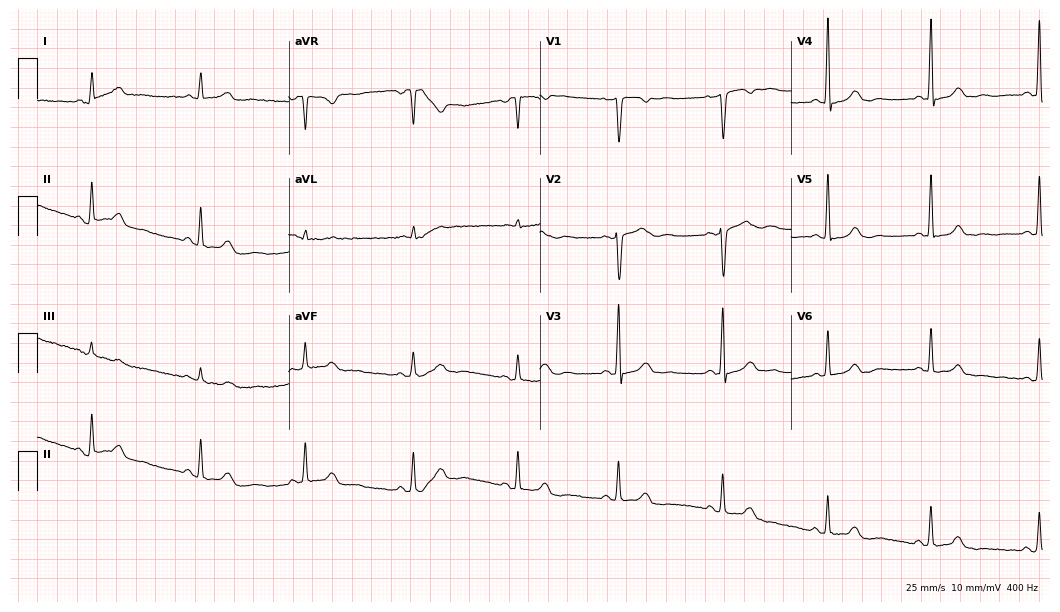
12-lead ECG (10.2-second recording at 400 Hz) from a female, 51 years old. Labelled as a normal ECG.